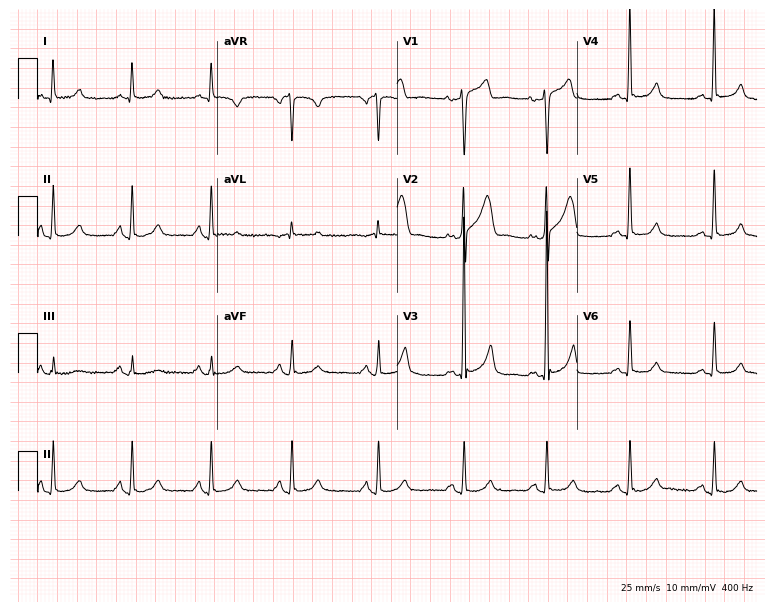
Standard 12-lead ECG recorded from a man, 52 years old (7.3-second recording at 400 Hz). Read as a normal ECG.